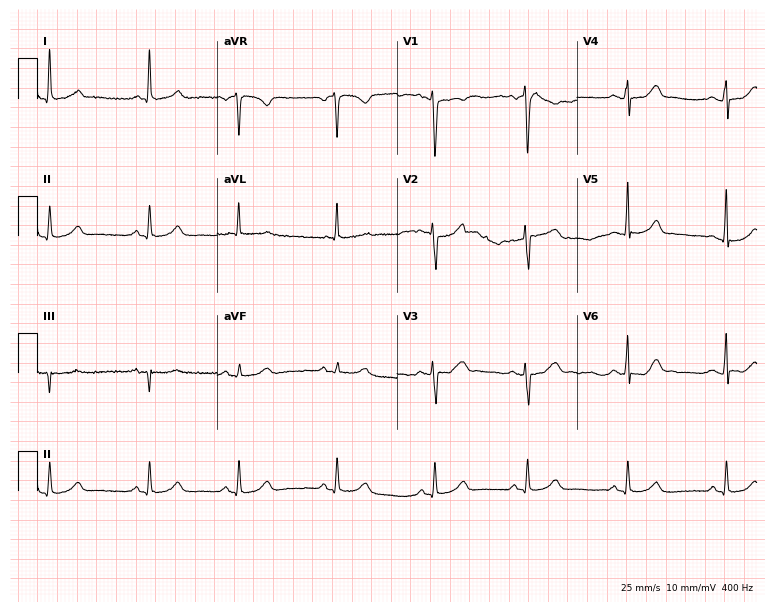
Resting 12-lead electrocardiogram (7.3-second recording at 400 Hz). Patient: a 52-year-old female. Read as a normal ECG.